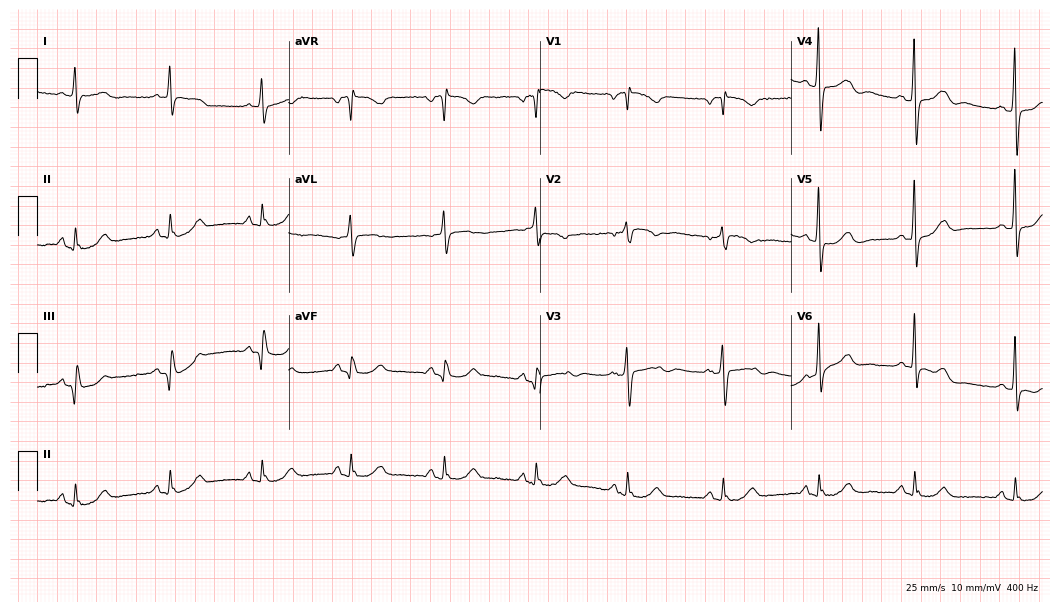
Standard 12-lead ECG recorded from a woman, 81 years old (10.2-second recording at 400 Hz). None of these six findings is recorded: first-degree AV block, right bundle branch block, left bundle branch block, sinus bradycardia, atrial fibrillation, sinus tachycardia. Only these six findings were labelled.